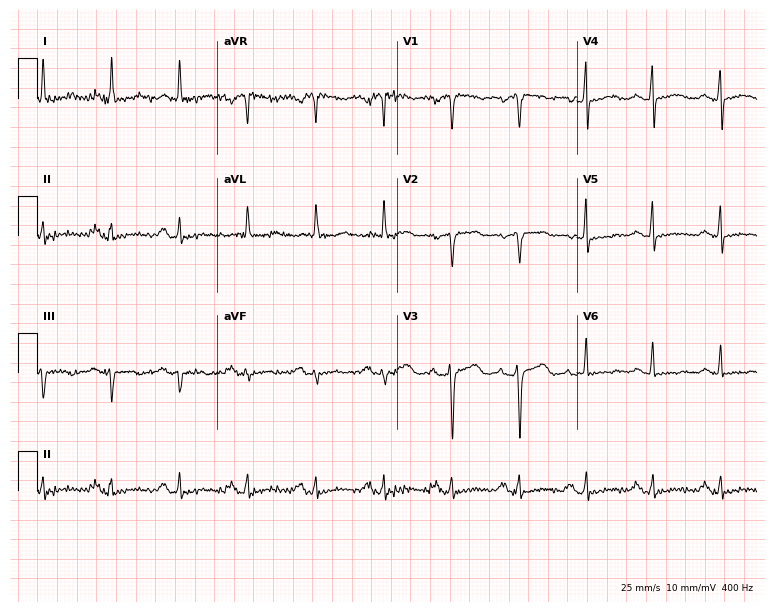
Resting 12-lead electrocardiogram (7.3-second recording at 400 Hz). Patient: a woman, 66 years old. None of these six findings is recorded: first-degree AV block, right bundle branch block, left bundle branch block, sinus bradycardia, atrial fibrillation, sinus tachycardia. Only these six findings were labelled.